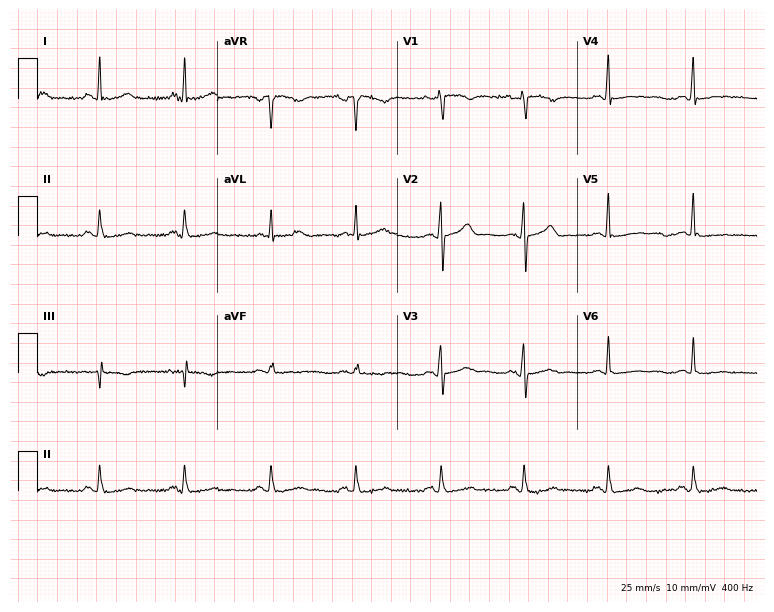
Electrocardiogram (7.3-second recording at 400 Hz), a woman, 49 years old. Overall reading on record: normal ECG.